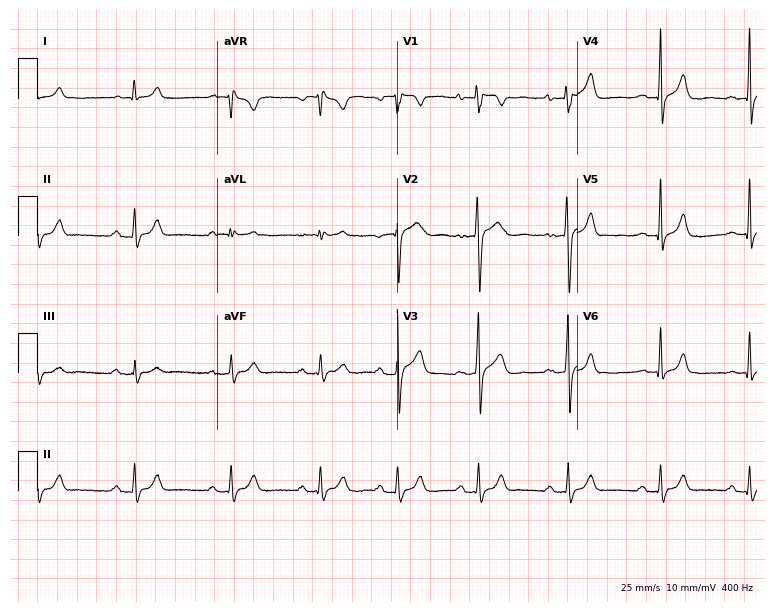
Electrocardiogram (7.3-second recording at 400 Hz), a man, 24 years old. Of the six screened findings (first-degree AV block, right bundle branch block (RBBB), left bundle branch block (LBBB), sinus bradycardia, atrial fibrillation (AF), sinus tachycardia), none is recorded. Findings outside these six are not listed.